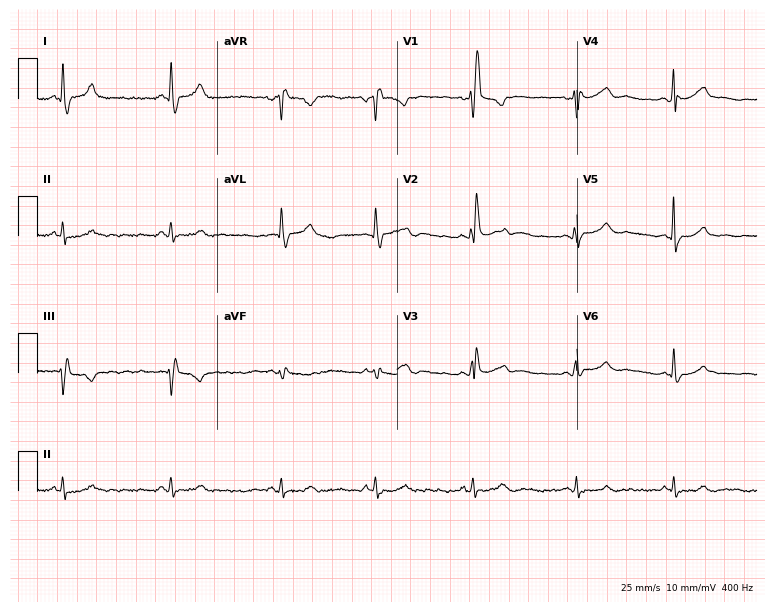
ECG — a male patient, 48 years old. Findings include right bundle branch block.